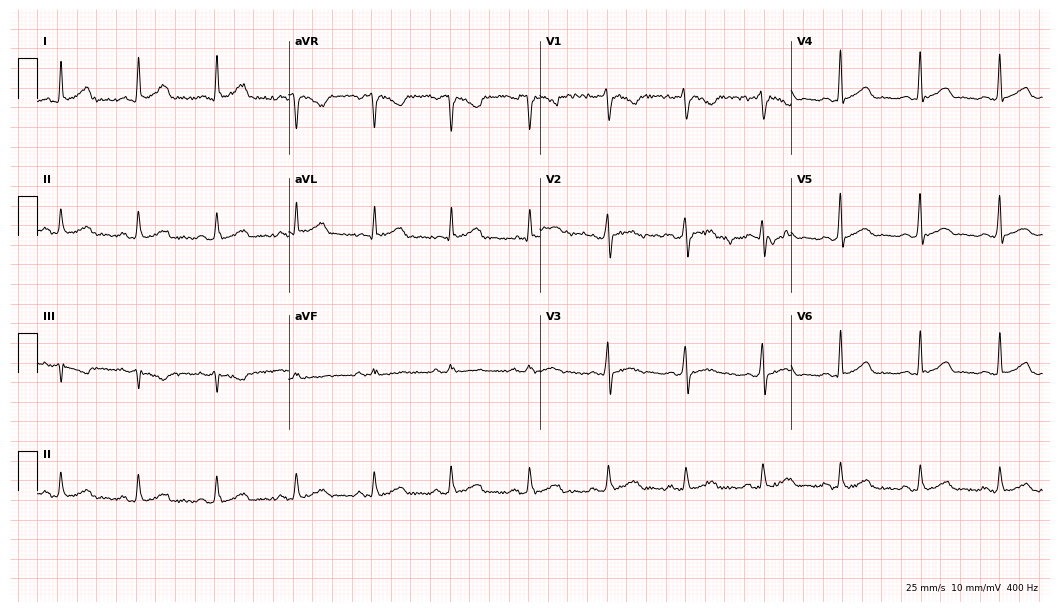
Electrocardiogram (10.2-second recording at 400 Hz), a 51-year-old male. Of the six screened findings (first-degree AV block, right bundle branch block, left bundle branch block, sinus bradycardia, atrial fibrillation, sinus tachycardia), none is recorded. Other findings, if any, are not listed.